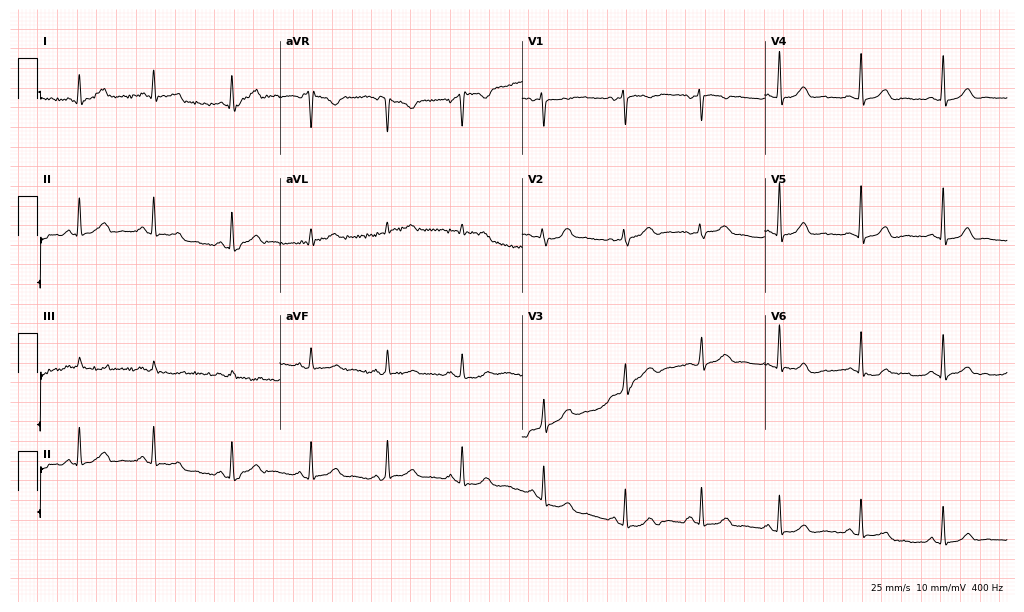
Standard 12-lead ECG recorded from a female, 38 years old (9.9-second recording at 400 Hz). Read as a normal ECG.